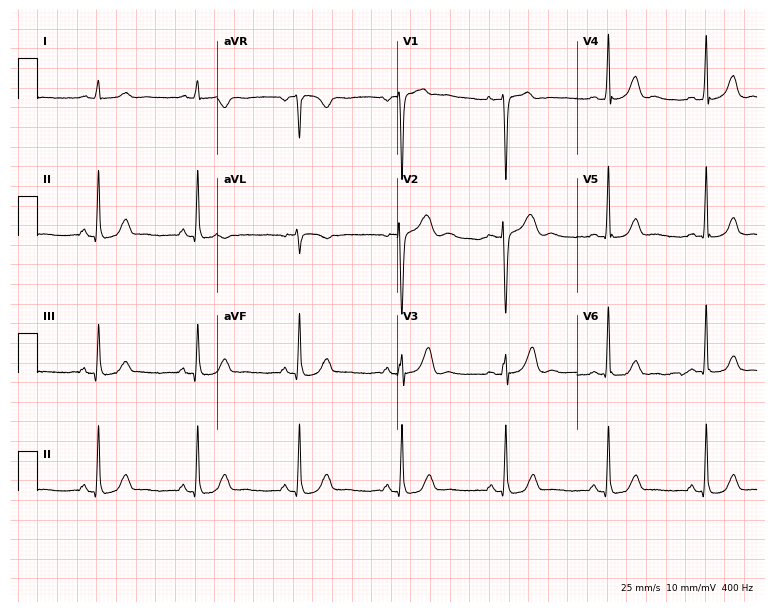
Electrocardiogram (7.3-second recording at 400 Hz), a female, 46 years old. Of the six screened findings (first-degree AV block, right bundle branch block, left bundle branch block, sinus bradycardia, atrial fibrillation, sinus tachycardia), none is recorded. Findings outside these six are not listed.